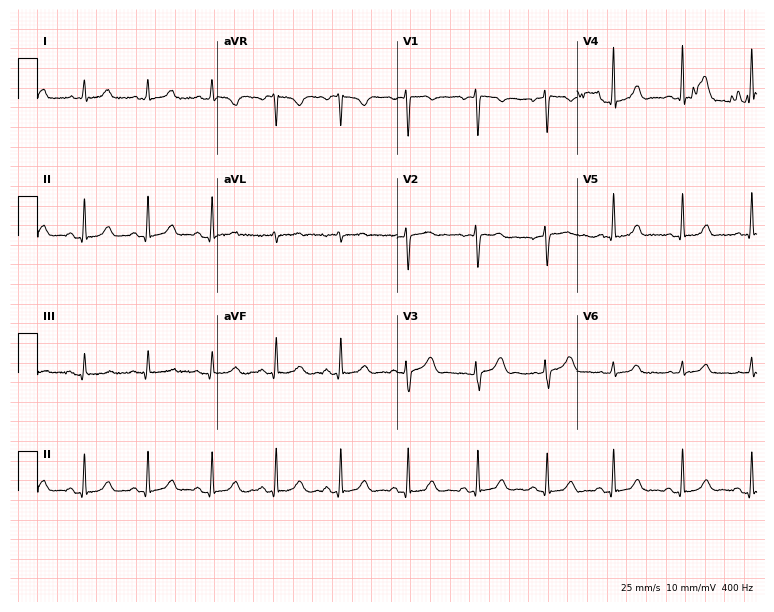
Standard 12-lead ECG recorded from a 32-year-old female (7.3-second recording at 400 Hz). Read as a normal ECG.